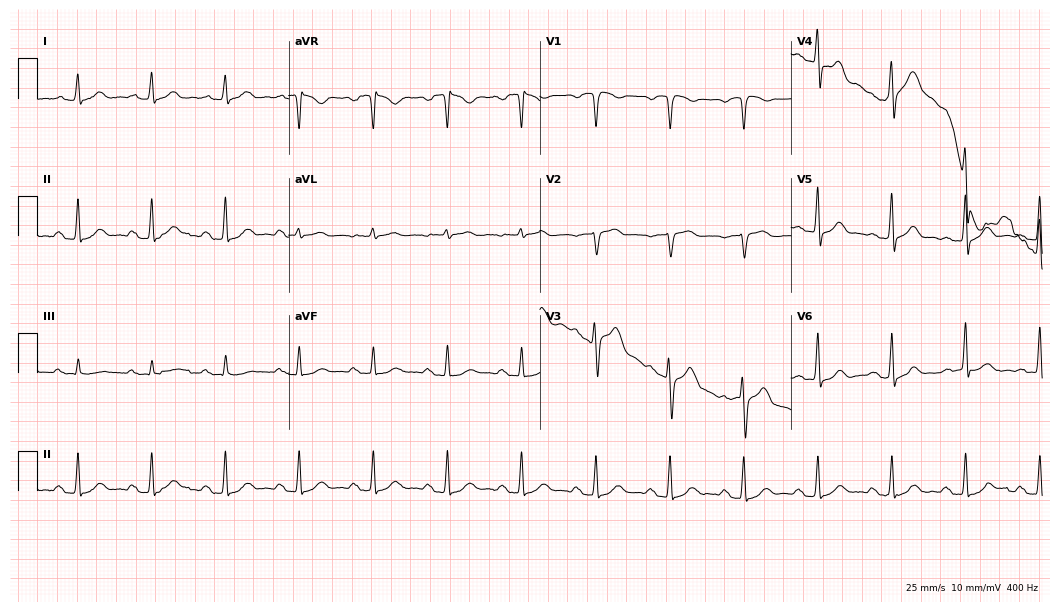
Resting 12-lead electrocardiogram (10.2-second recording at 400 Hz). Patient: a male, 64 years old. Read as a normal ECG.